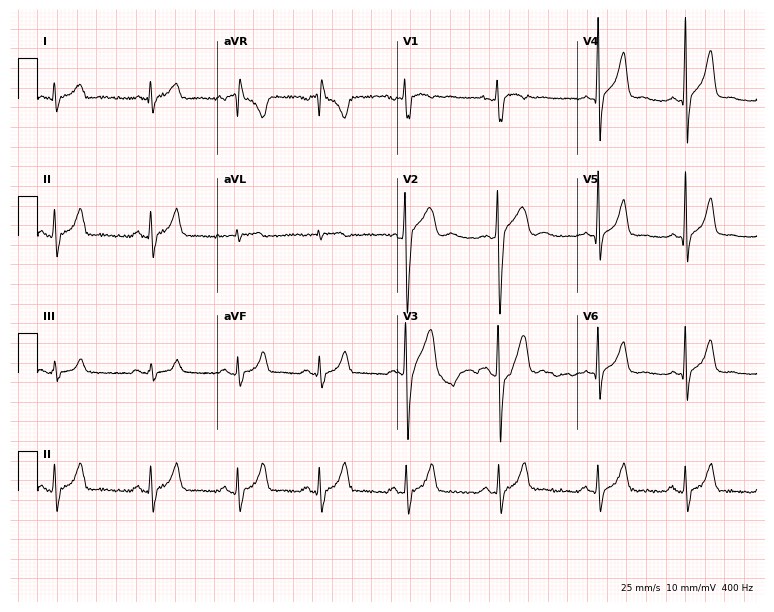
Electrocardiogram (7.3-second recording at 400 Hz), a male, 19 years old. Of the six screened findings (first-degree AV block, right bundle branch block, left bundle branch block, sinus bradycardia, atrial fibrillation, sinus tachycardia), none is recorded. Findings outside these six are not listed.